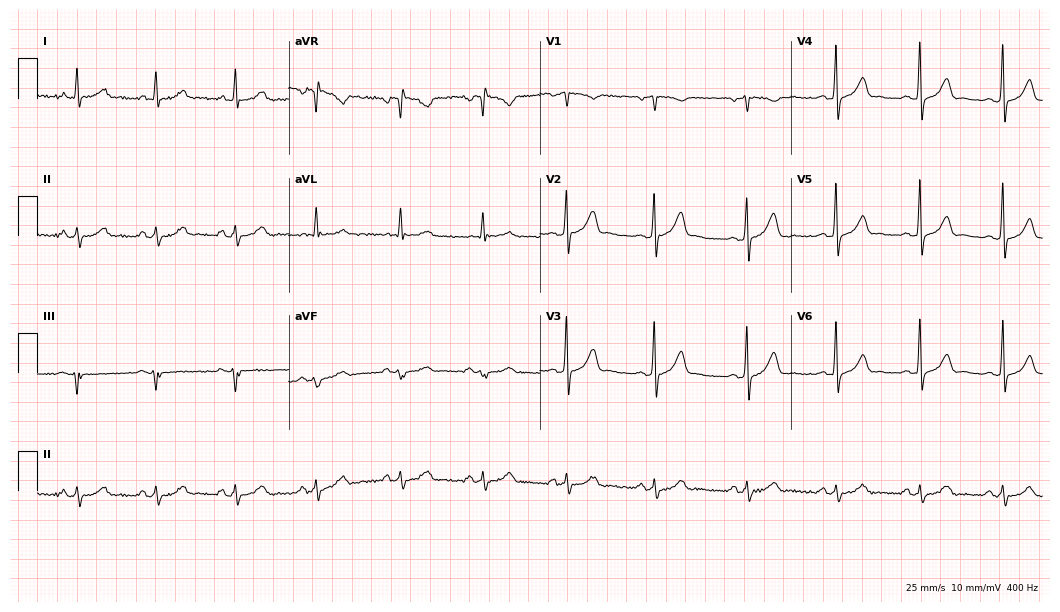
Electrocardiogram (10.2-second recording at 400 Hz), a male patient, 48 years old. Overall reading on record: normal ECG.